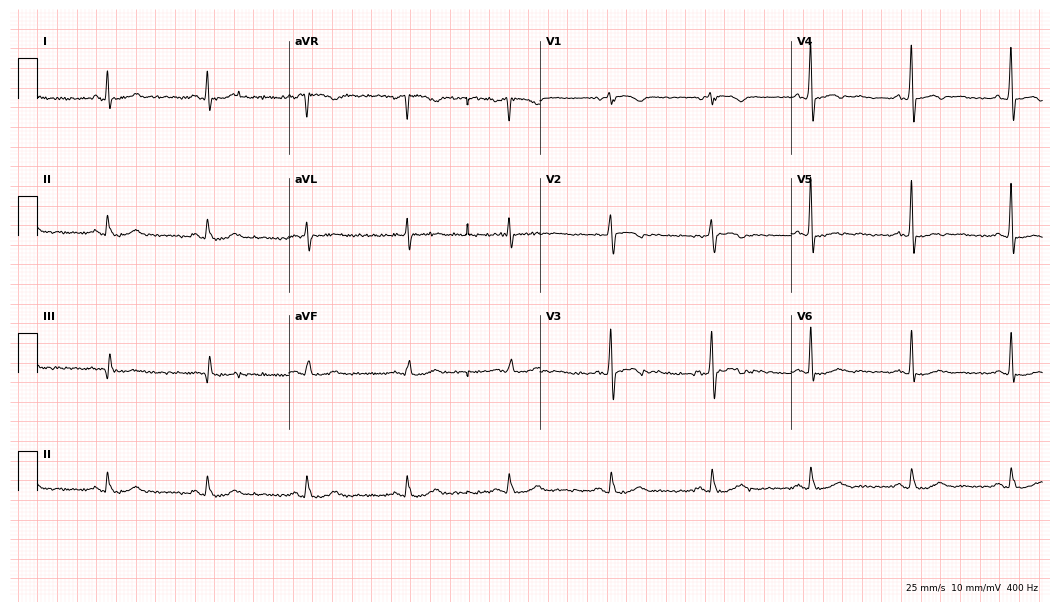
12-lead ECG from a 62-year-old man. Screened for six findings — first-degree AV block, right bundle branch block (RBBB), left bundle branch block (LBBB), sinus bradycardia, atrial fibrillation (AF), sinus tachycardia — none is recorded. Only these six findings were labelled.